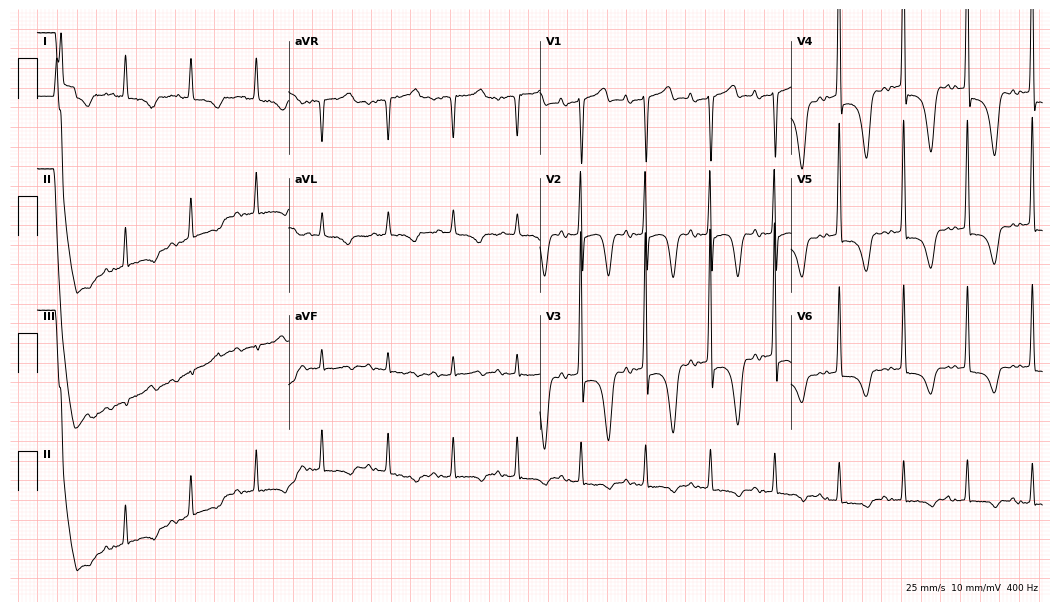
12-lead ECG (10.2-second recording at 400 Hz) from a male patient, 84 years old. Screened for six findings — first-degree AV block, right bundle branch block (RBBB), left bundle branch block (LBBB), sinus bradycardia, atrial fibrillation (AF), sinus tachycardia — none is recorded.